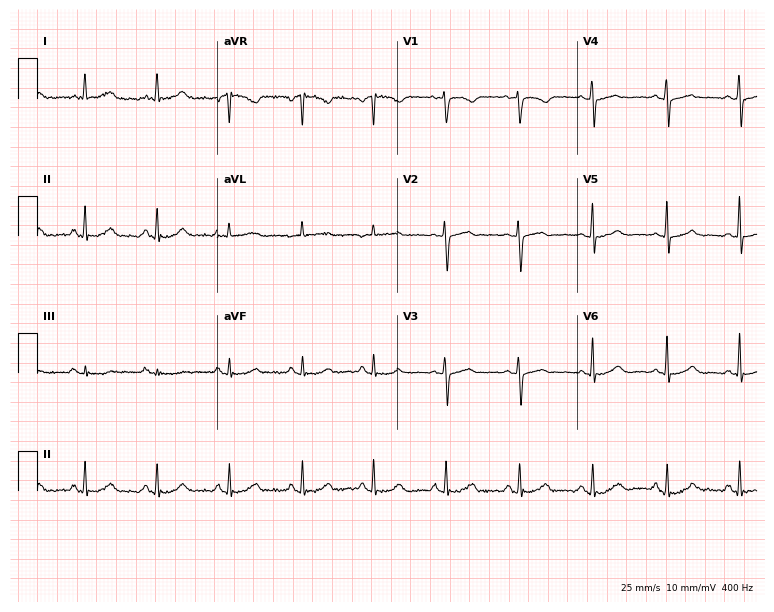
Electrocardiogram (7.3-second recording at 400 Hz), a 52-year-old female. Of the six screened findings (first-degree AV block, right bundle branch block, left bundle branch block, sinus bradycardia, atrial fibrillation, sinus tachycardia), none is recorded.